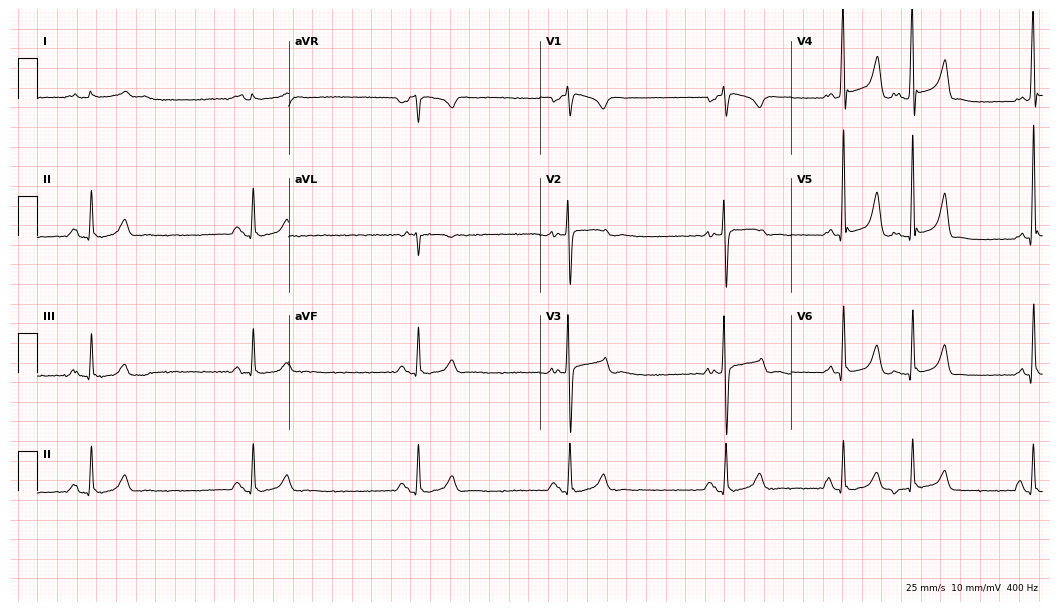
12-lead ECG from a 40-year-old man (10.2-second recording at 400 Hz). Shows right bundle branch block, sinus bradycardia (a sinus rate of 50 beats per minute or less).